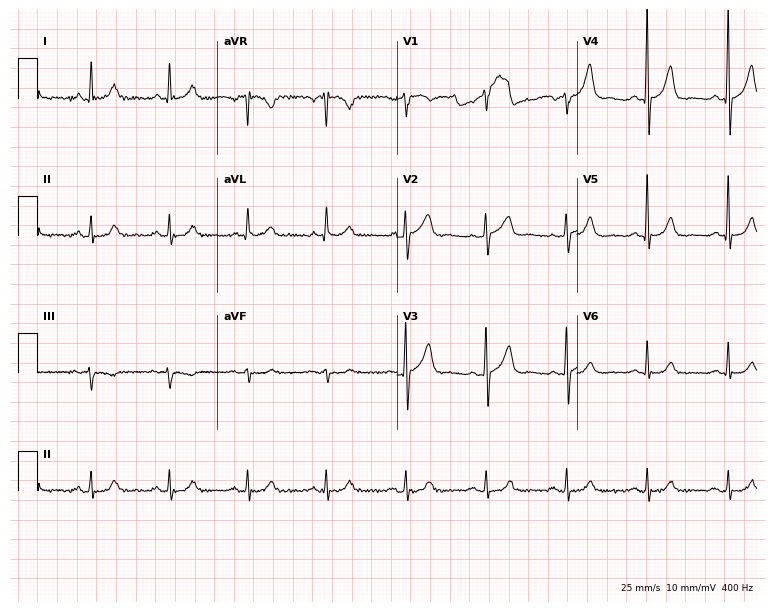
12-lead ECG from a male patient, 61 years old. Recorded interpretation: within normal limits.